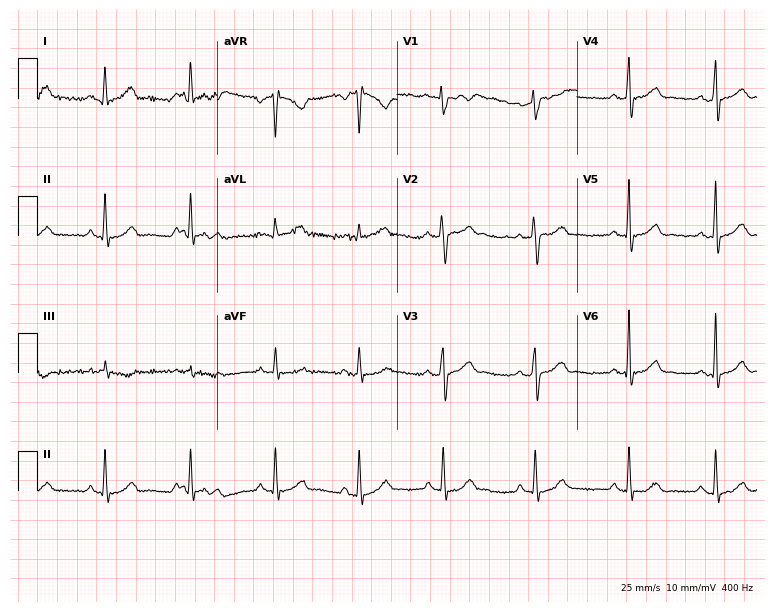
Electrocardiogram (7.3-second recording at 400 Hz), a 43-year-old female. Overall reading on record: normal ECG.